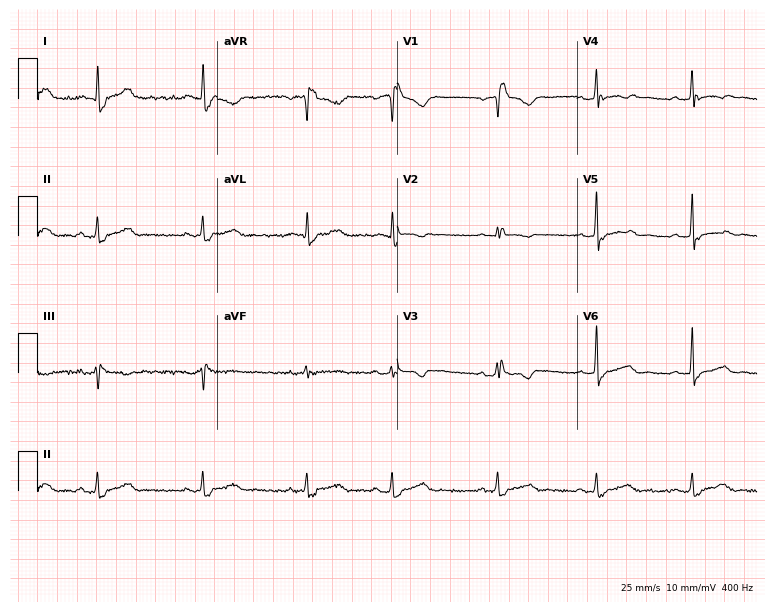
12-lead ECG (7.3-second recording at 400 Hz) from a female, 52 years old. Screened for six findings — first-degree AV block, right bundle branch block (RBBB), left bundle branch block (LBBB), sinus bradycardia, atrial fibrillation (AF), sinus tachycardia — none is recorded. Findings outside these six are not listed.